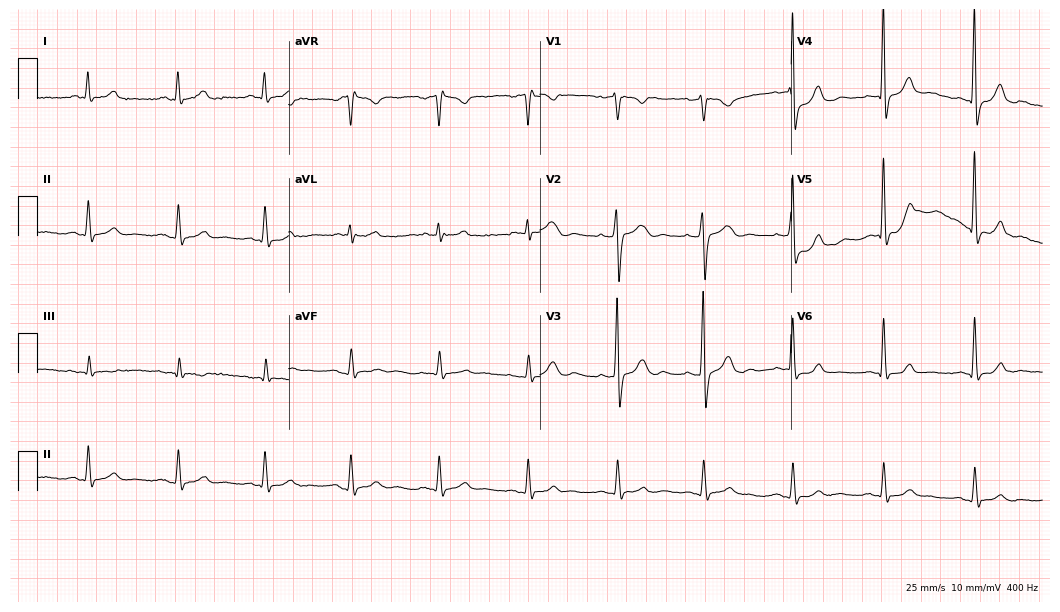
Resting 12-lead electrocardiogram. Patient: a male, 52 years old. None of these six findings is recorded: first-degree AV block, right bundle branch block, left bundle branch block, sinus bradycardia, atrial fibrillation, sinus tachycardia. Other findings, if any, are not listed.